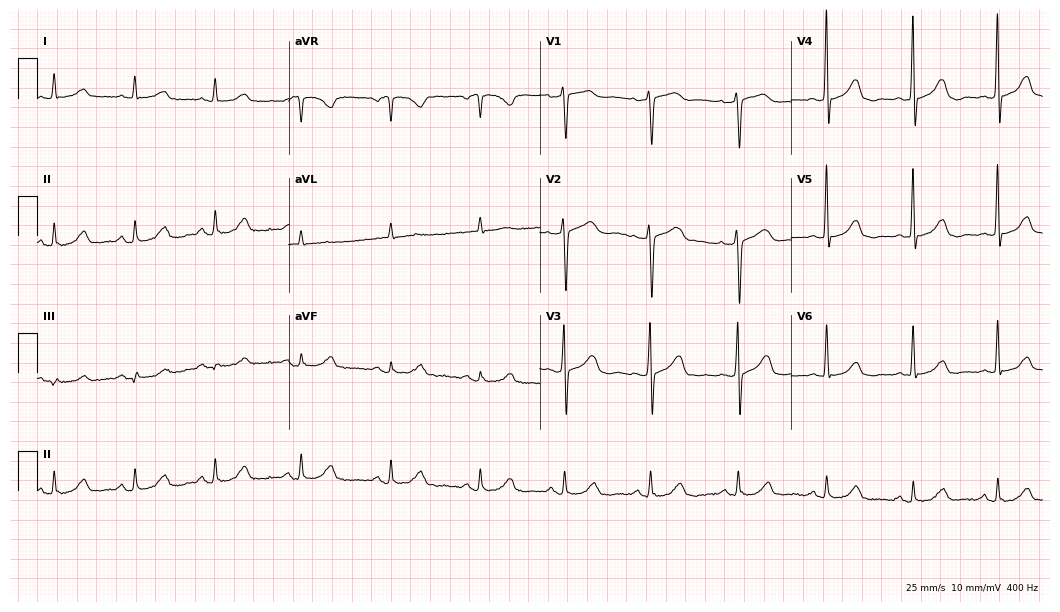
12-lead ECG from a female, 72 years old. Screened for six findings — first-degree AV block, right bundle branch block, left bundle branch block, sinus bradycardia, atrial fibrillation, sinus tachycardia — none is recorded.